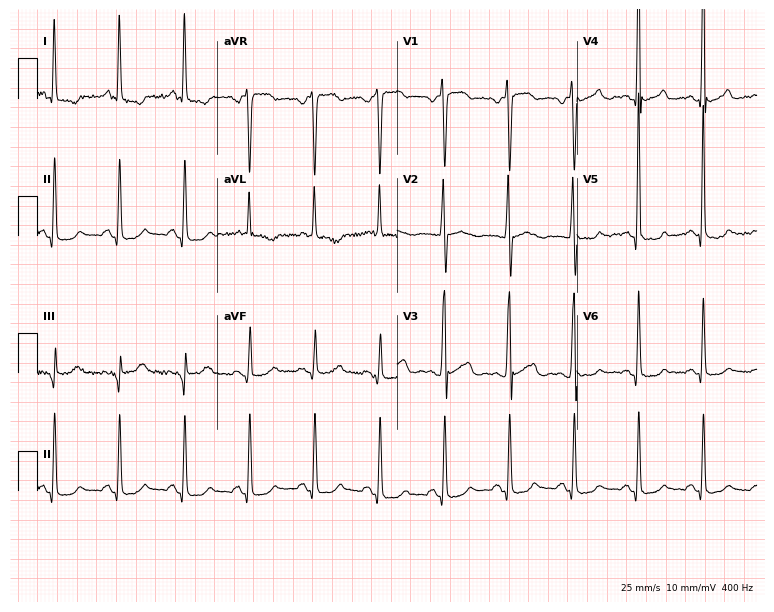
Standard 12-lead ECG recorded from a male patient, 35 years old (7.3-second recording at 400 Hz). None of these six findings is recorded: first-degree AV block, right bundle branch block, left bundle branch block, sinus bradycardia, atrial fibrillation, sinus tachycardia. Other findings, if any, are not listed.